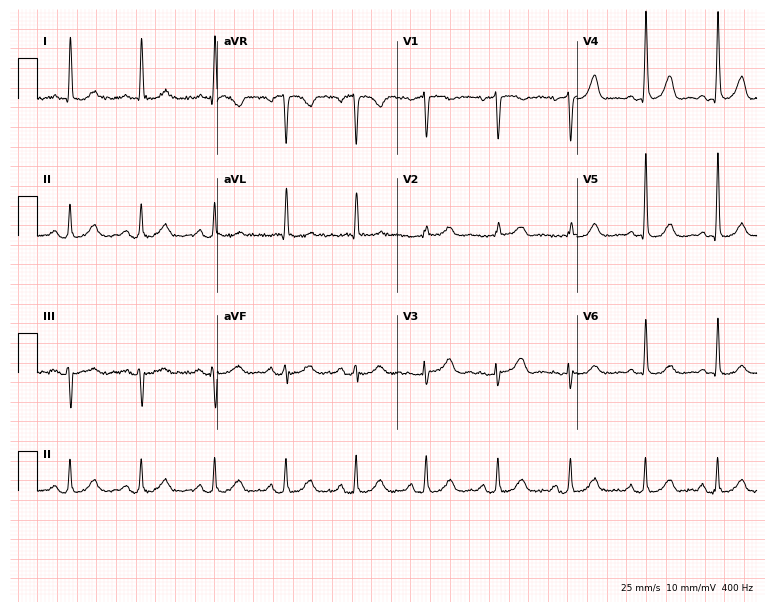
Standard 12-lead ECG recorded from a female, 72 years old. Read as a normal ECG.